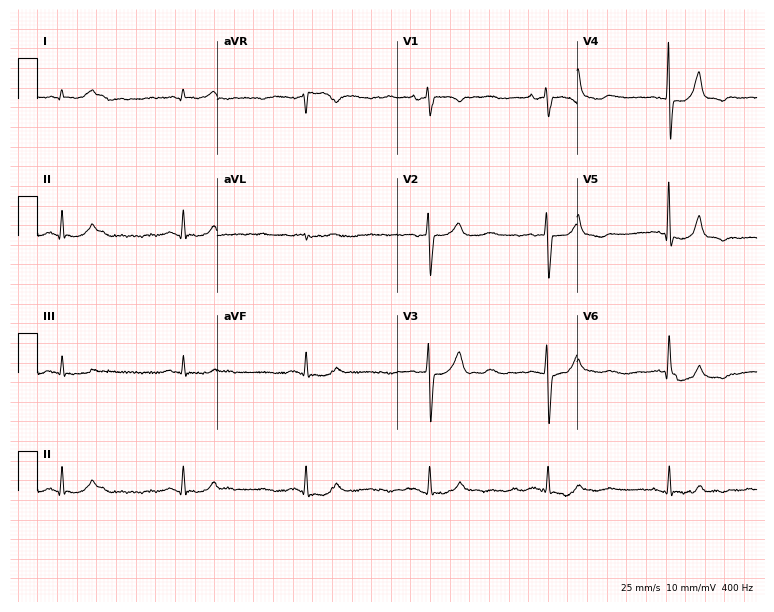
ECG (7.3-second recording at 400 Hz) — a 65-year-old man. Findings include sinus bradycardia (a sinus rate of 50 beats per minute or less).